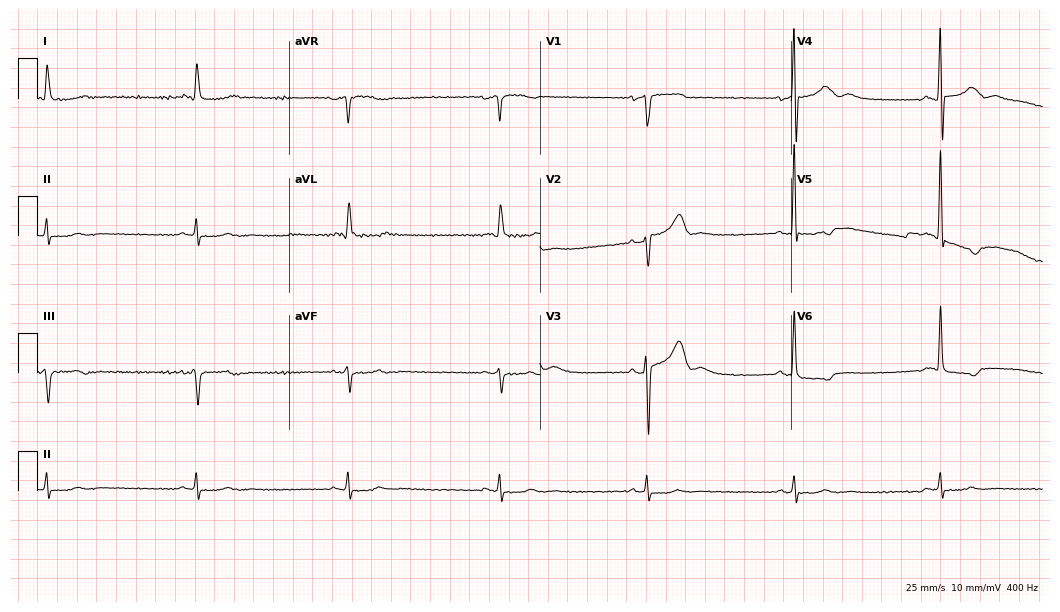
ECG — a female patient, 74 years old. Findings include sinus bradycardia (a sinus rate of 50 beats per minute or less).